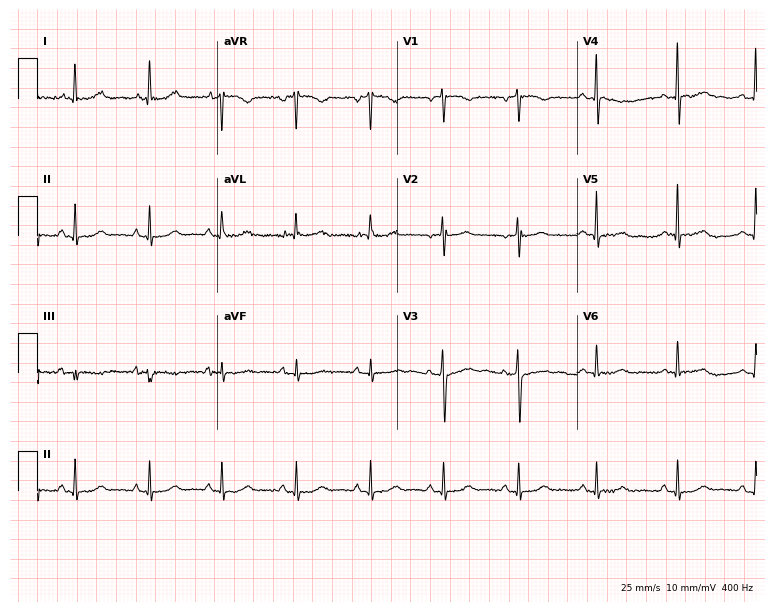
ECG (7.3-second recording at 400 Hz) — a 58-year-old female. Screened for six findings — first-degree AV block, right bundle branch block, left bundle branch block, sinus bradycardia, atrial fibrillation, sinus tachycardia — none is recorded.